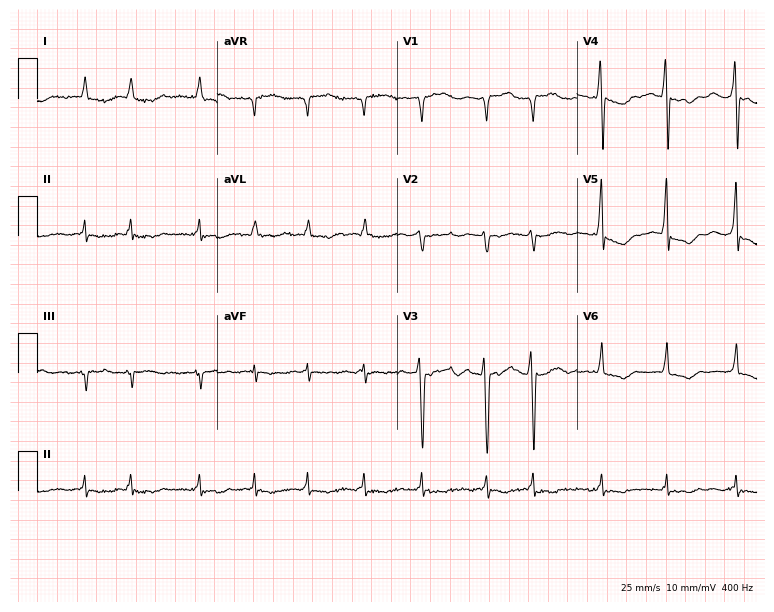
12-lead ECG from a man, 81 years old. Findings include atrial fibrillation.